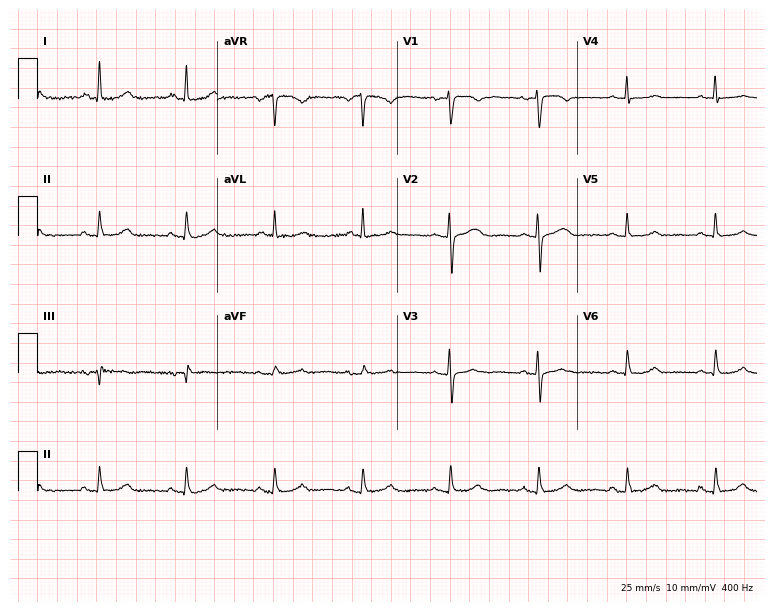
12-lead ECG from a female patient, 63 years old. No first-degree AV block, right bundle branch block, left bundle branch block, sinus bradycardia, atrial fibrillation or sinus tachycardia recorded for this tracing.